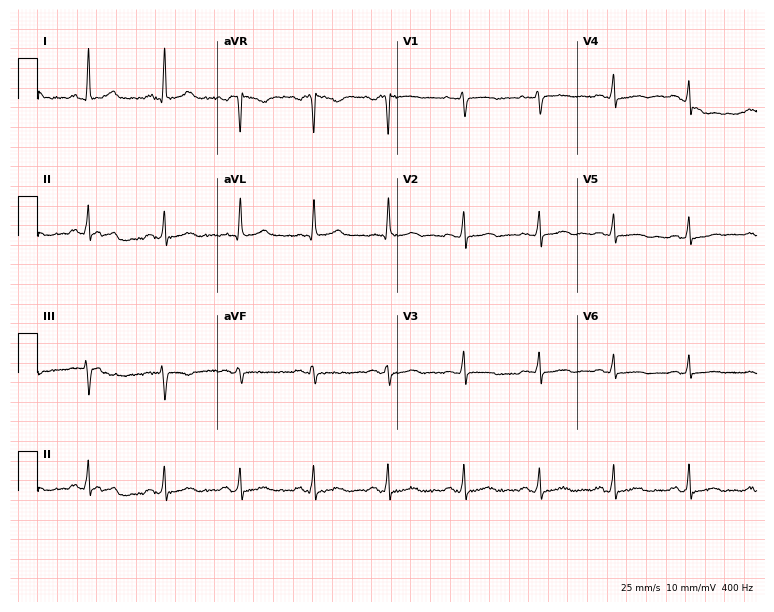
12-lead ECG (7.3-second recording at 400 Hz) from a 47-year-old female. Labelled as a normal ECG.